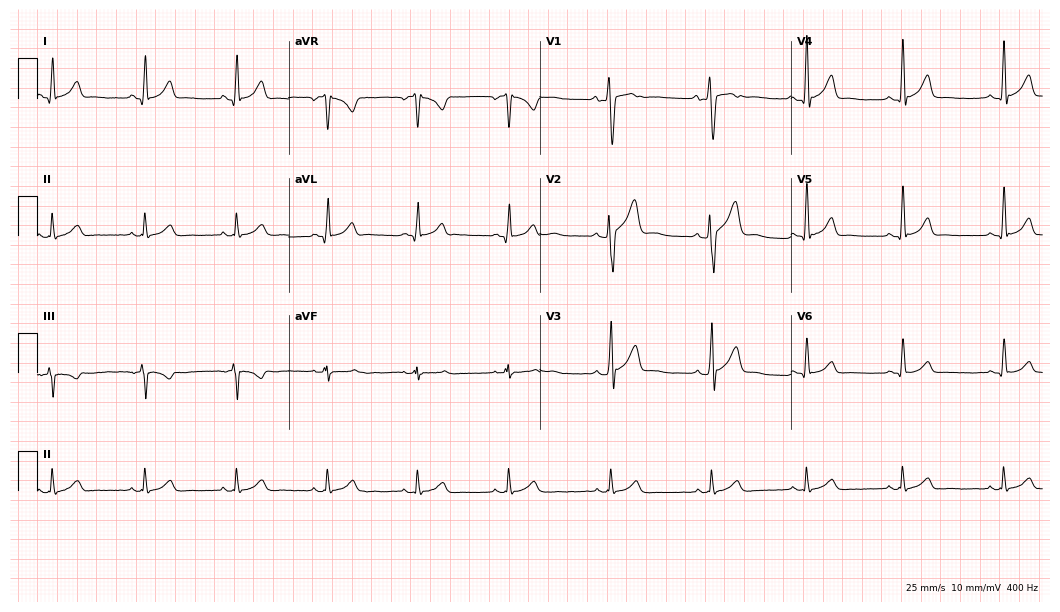
Electrocardiogram, a male, 29 years old. Overall reading on record: normal ECG.